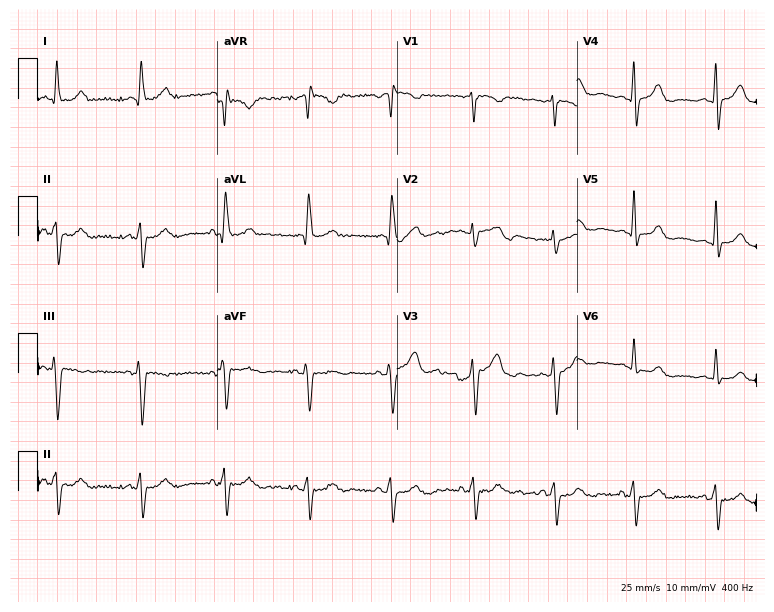
Resting 12-lead electrocardiogram (7.3-second recording at 400 Hz). Patient: a 71-year-old man. None of these six findings is recorded: first-degree AV block, right bundle branch block (RBBB), left bundle branch block (LBBB), sinus bradycardia, atrial fibrillation (AF), sinus tachycardia. Other findings, if any, are not listed.